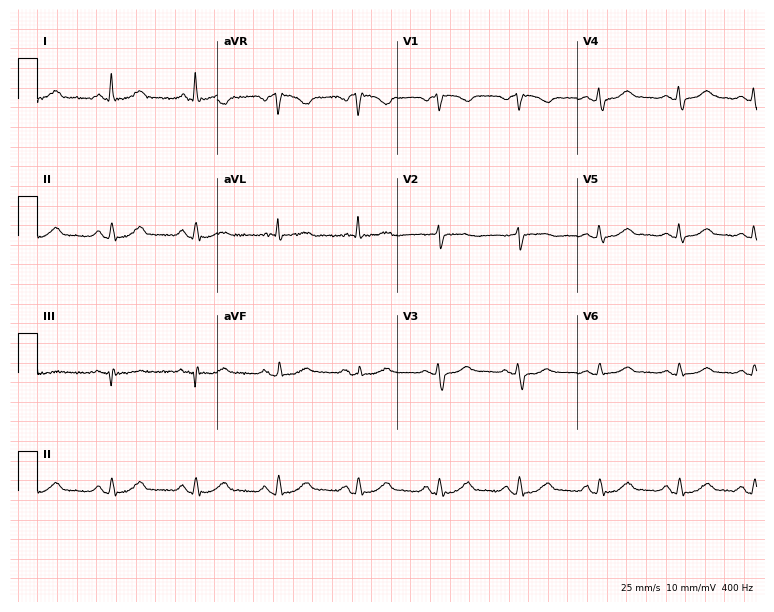
ECG (7.3-second recording at 400 Hz) — a woman, 54 years old. Labelled as a normal ECG.